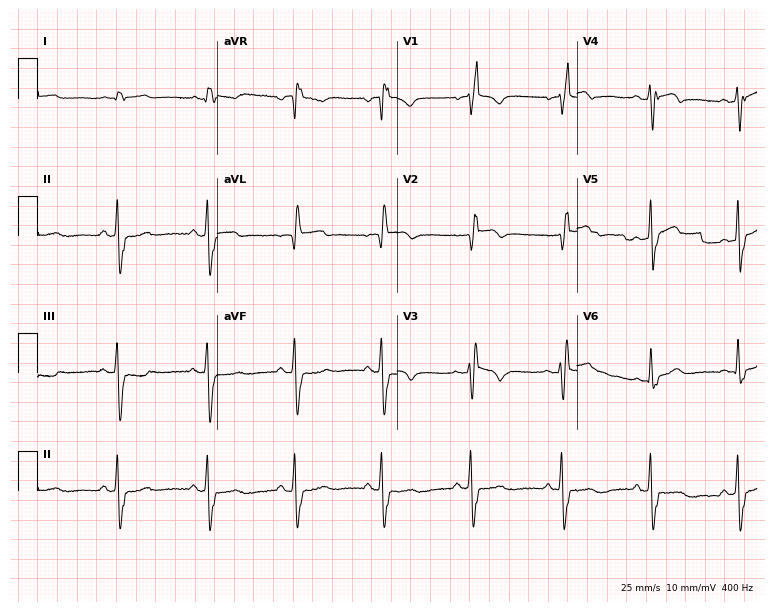
12-lead ECG from a man, 72 years old (7.3-second recording at 400 Hz). No first-degree AV block, right bundle branch block, left bundle branch block, sinus bradycardia, atrial fibrillation or sinus tachycardia recorded for this tracing. Findings outside these six are not listed.